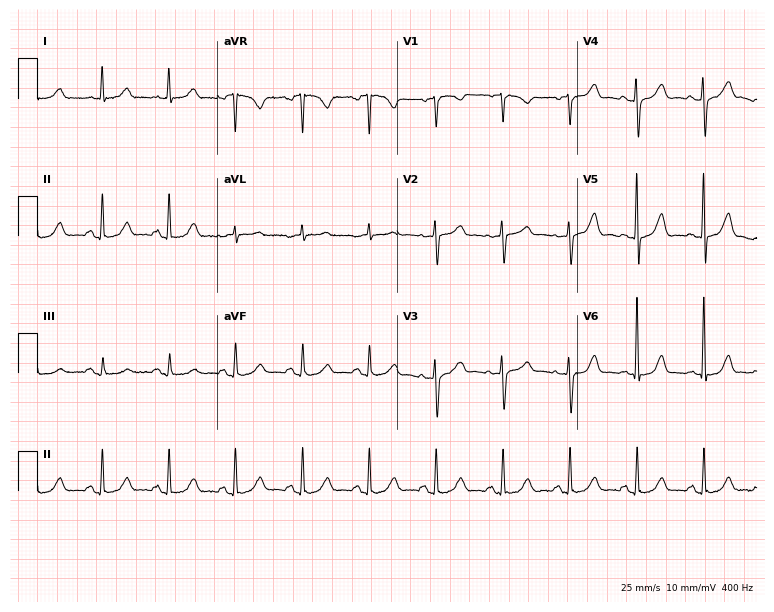
12-lead ECG from a female, 76 years old. Screened for six findings — first-degree AV block, right bundle branch block, left bundle branch block, sinus bradycardia, atrial fibrillation, sinus tachycardia — none is recorded. Findings outside these six are not listed.